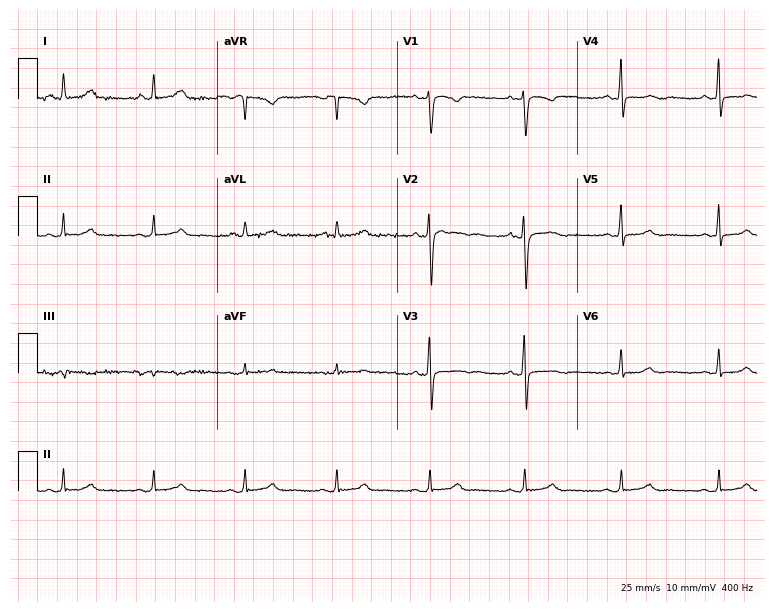
12-lead ECG from a woman, 53 years old. No first-degree AV block, right bundle branch block (RBBB), left bundle branch block (LBBB), sinus bradycardia, atrial fibrillation (AF) or sinus tachycardia recorded for this tracing. Other findings, if any, are not listed.